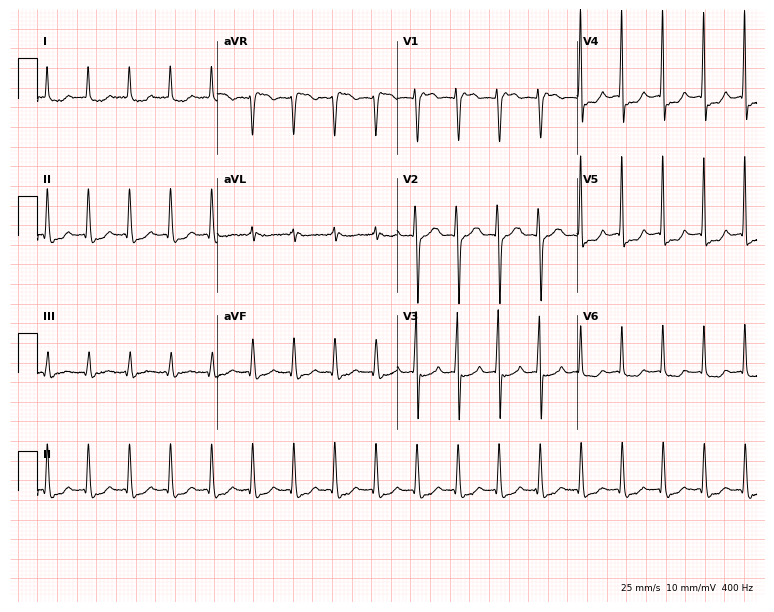
12-lead ECG from a 78-year-old female patient (7.3-second recording at 400 Hz). No first-degree AV block, right bundle branch block, left bundle branch block, sinus bradycardia, atrial fibrillation or sinus tachycardia recorded for this tracing. Other findings, if any, are not listed.